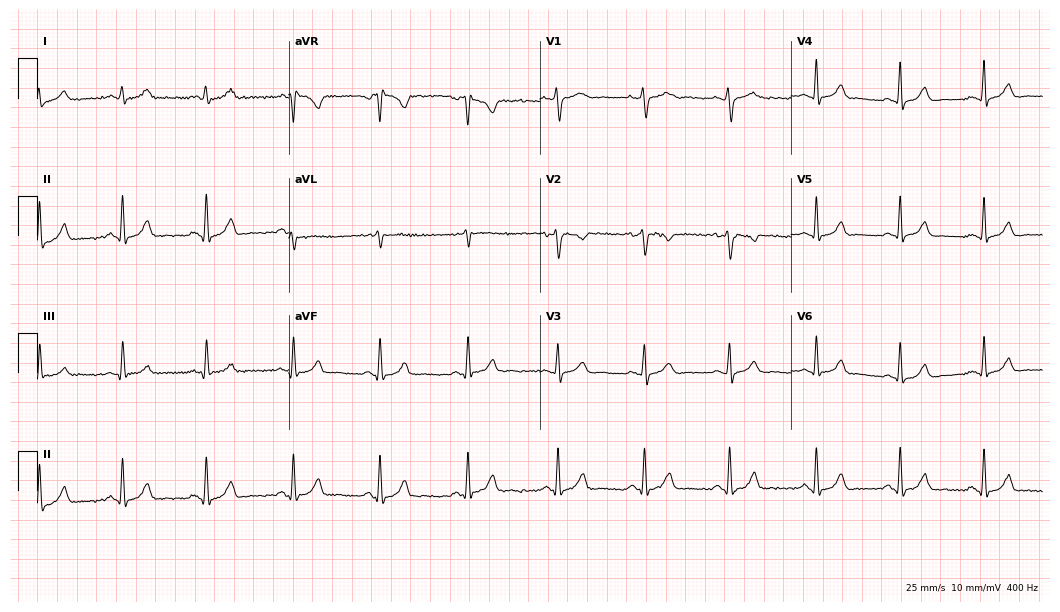
Electrocardiogram (10.2-second recording at 400 Hz), a 39-year-old female patient. Overall reading on record: normal ECG.